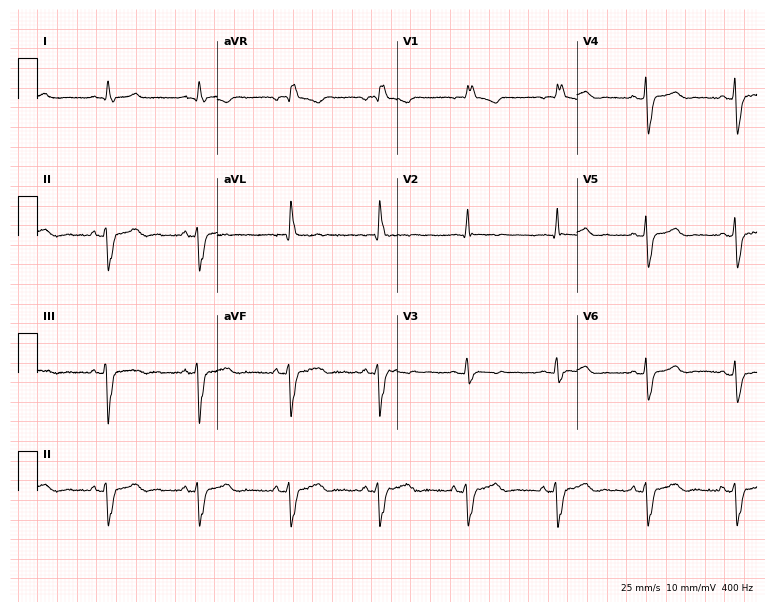
Resting 12-lead electrocardiogram (7.3-second recording at 400 Hz). Patient: a female, 45 years old. The tracing shows right bundle branch block.